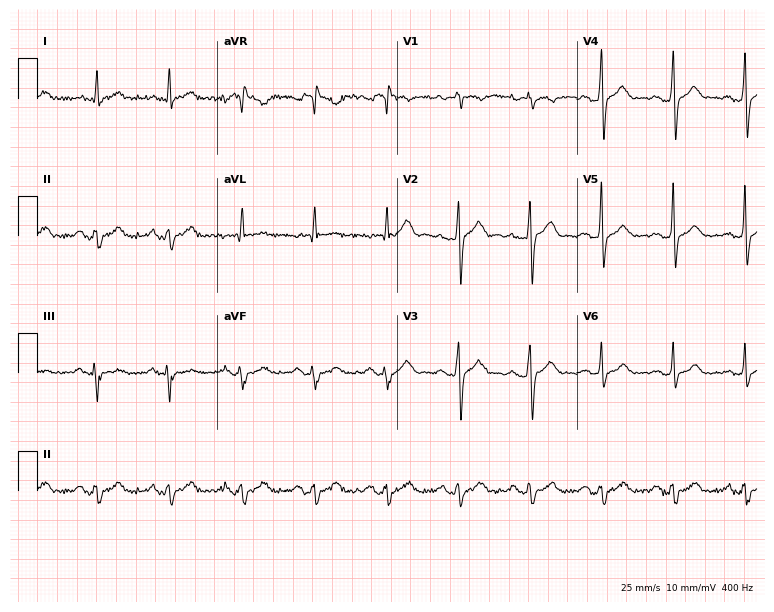
12-lead ECG from a male, 50 years old (7.3-second recording at 400 Hz). No first-degree AV block, right bundle branch block (RBBB), left bundle branch block (LBBB), sinus bradycardia, atrial fibrillation (AF) or sinus tachycardia recorded for this tracing.